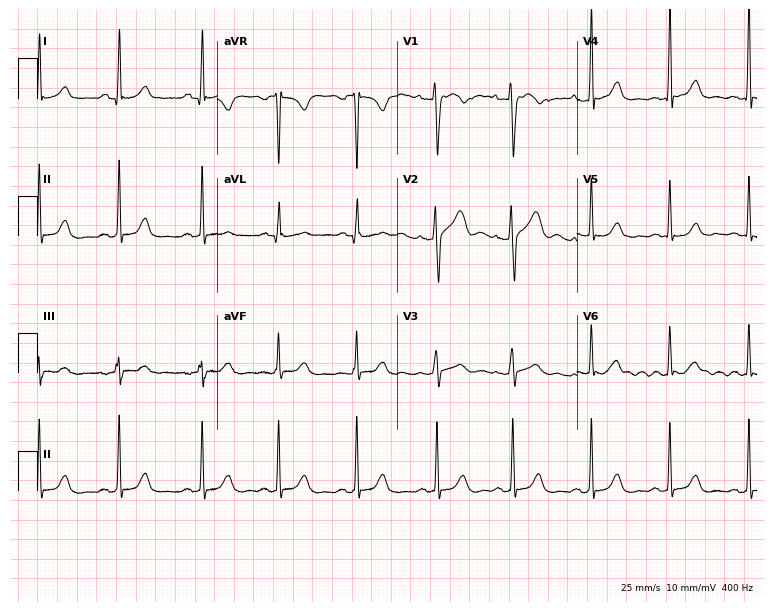
12-lead ECG from a female patient, 24 years old (7.3-second recording at 400 Hz). Recorded interpretation: within normal limits.